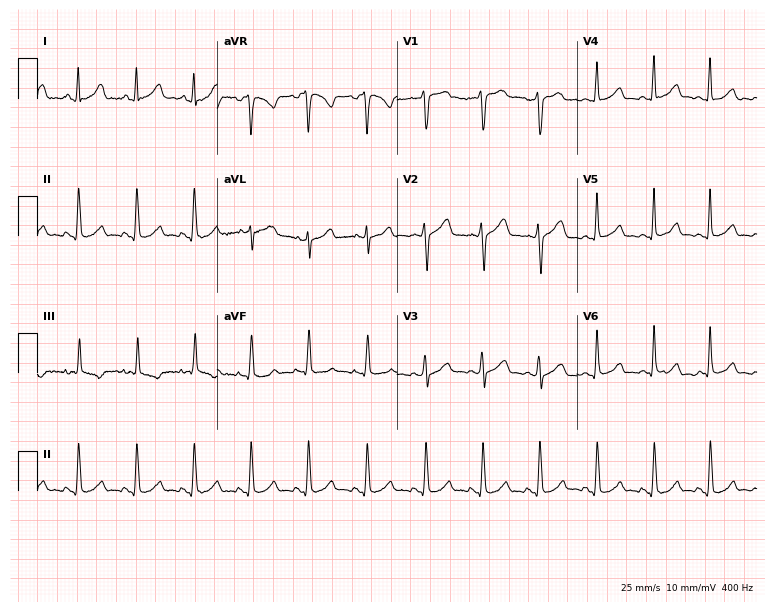
Electrocardiogram, a female, 28 years old. Interpretation includes sinus tachycardia (a sinus rate of 100 beats per minute or more).